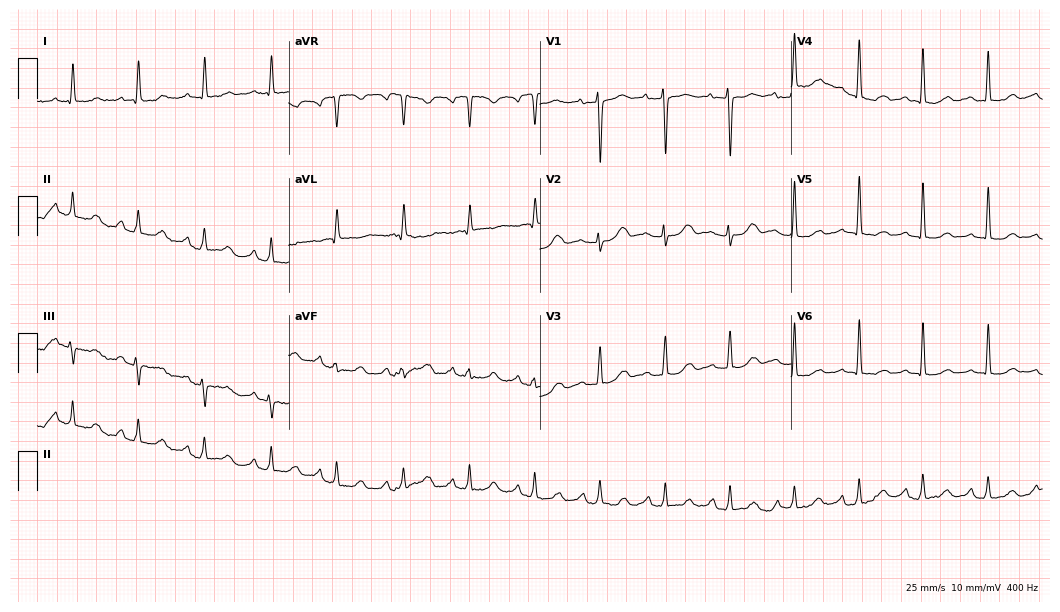
Standard 12-lead ECG recorded from a female, 77 years old (10.2-second recording at 400 Hz). Read as a normal ECG.